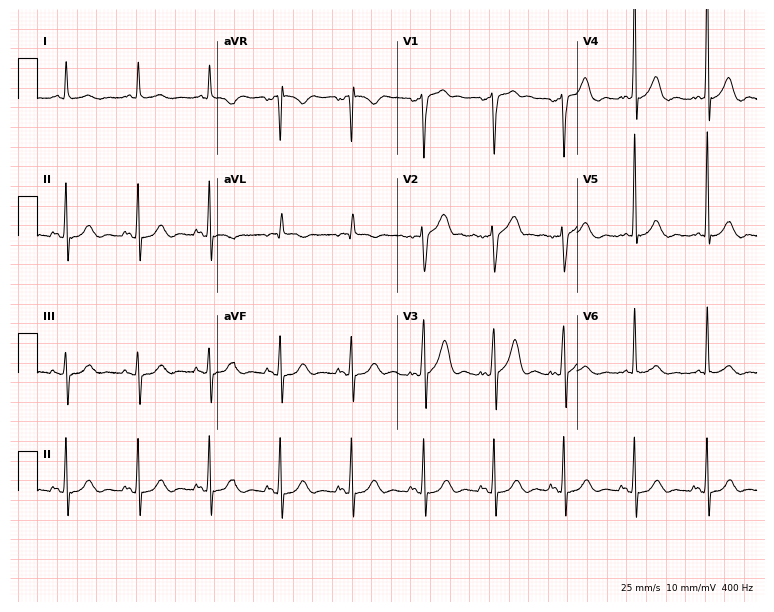
ECG — a male patient, 66 years old. Labelled as a normal ECG.